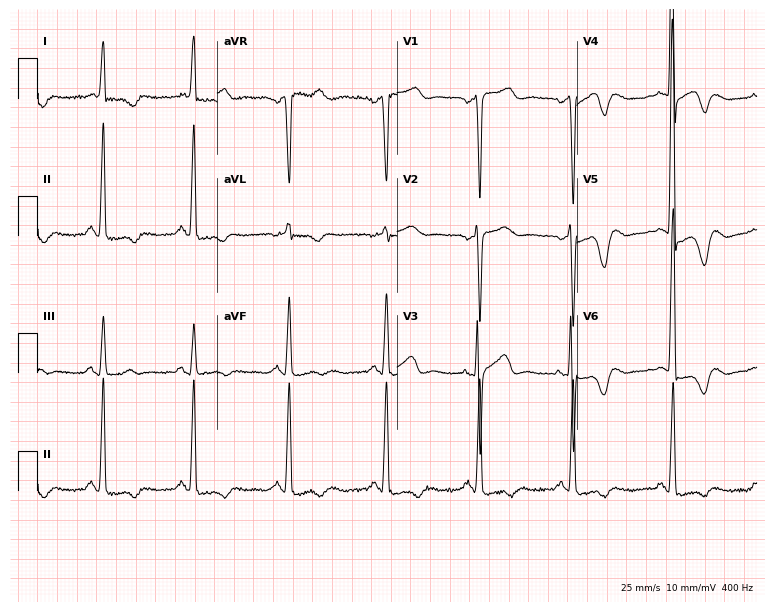
Standard 12-lead ECG recorded from a 70-year-old woman. None of these six findings is recorded: first-degree AV block, right bundle branch block (RBBB), left bundle branch block (LBBB), sinus bradycardia, atrial fibrillation (AF), sinus tachycardia. Other findings, if any, are not listed.